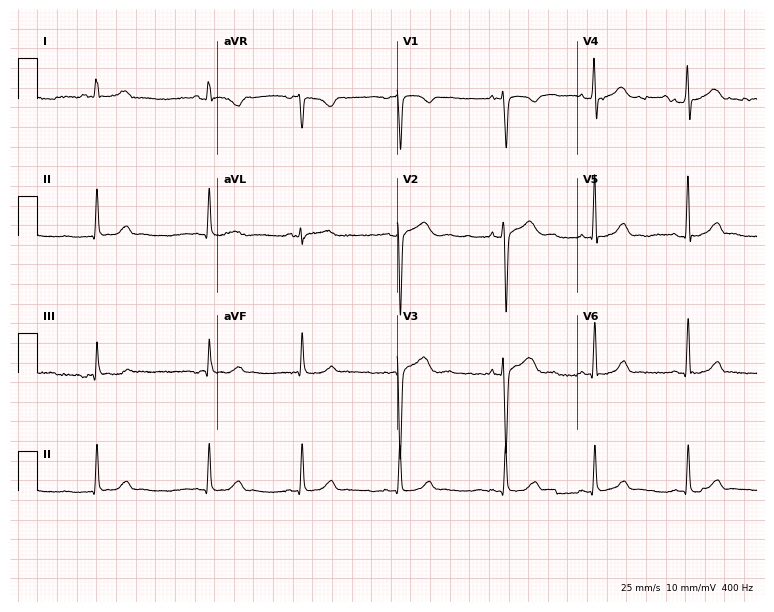
ECG — a woman, 19 years old. Labelled as a normal ECG.